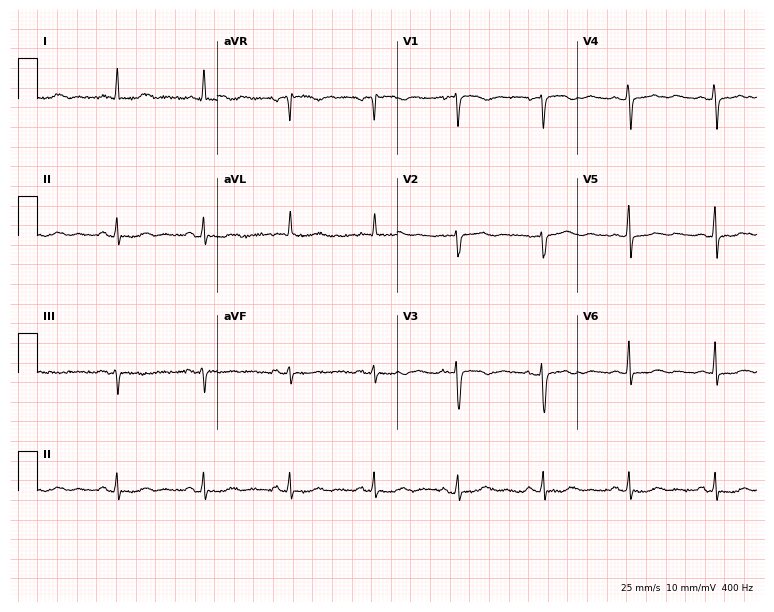
Standard 12-lead ECG recorded from a 61-year-old female patient (7.3-second recording at 400 Hz). None of these six findings is recorded: first-degree AV block, right bundle branch block (RBBB), left bundle branch block (LBBB), sinus bradycardia, atrial fibrillation (AF), sinus tachycardia.